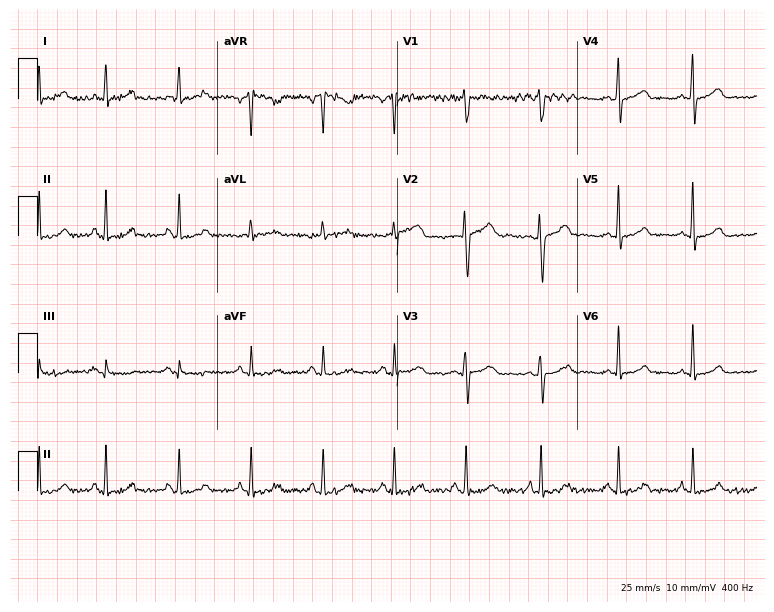
12-lead ECG (7.3-second recording at 400 Hz) from a 45-year-old woman. Screened for six findings — first-degree AV block, right bundle branch block, left bundle branch block, sinus bradycardia, atrial fibrillation, sinus tachycardia — none is recorded.